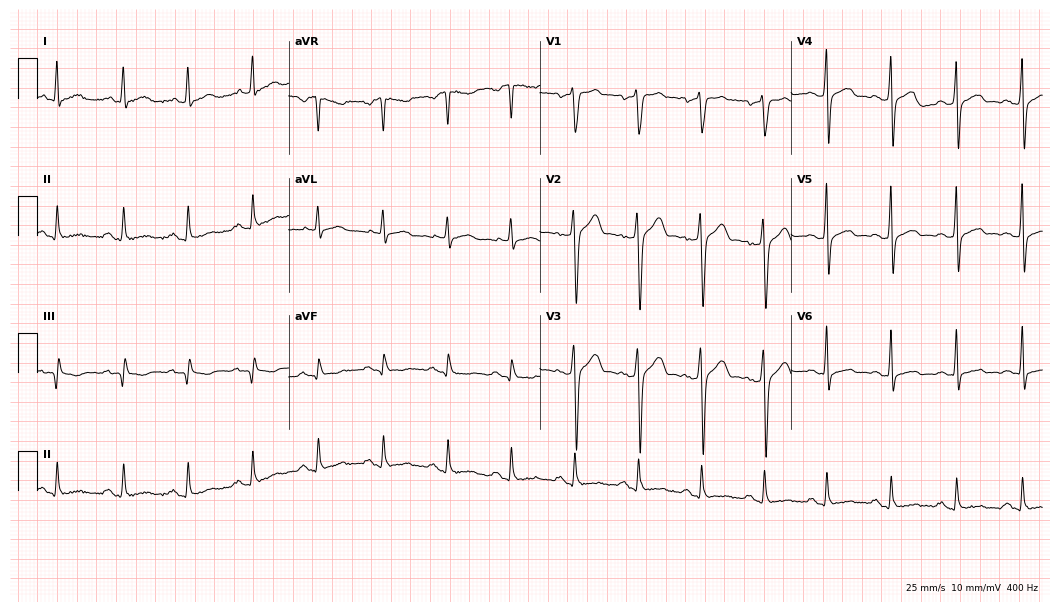
Standard 12-lead ECG recorded from a 35-year-old male patient (10.2-second recording at 400 Hz). None of these six findings is recorded: first-degree AV block, right bundle branch block, left bundle branch block, sinus bradycardia, atrial fibrillation, sinus tachycardia. Other findings, if any, are not listed.